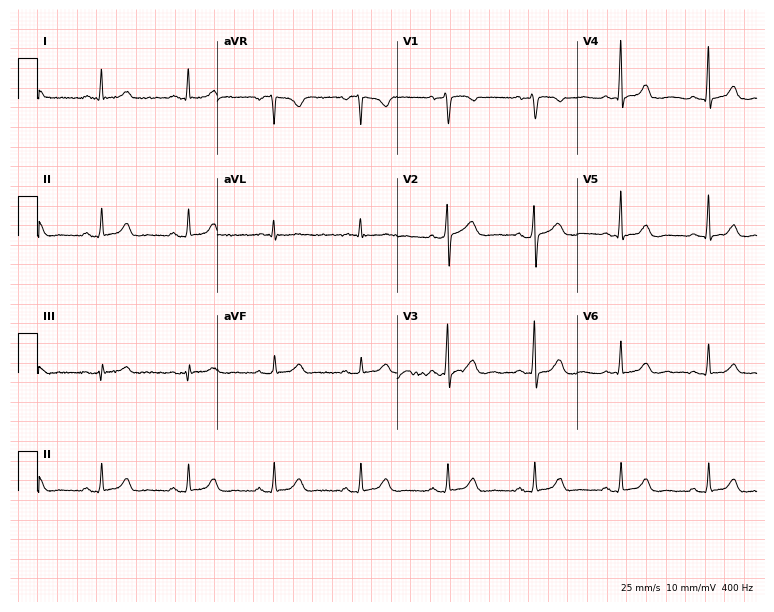
Standard 12-lead ECG recorded from a female, 61 years old (7.3-second recording at 400 Hz). None of these six findings is recorded: first-degree AV block, right bundle branch block (RBBB), left bundle branch block (LBBB), sinus bradycardia, atrial fibrillation (AF), sinus tachycardia.